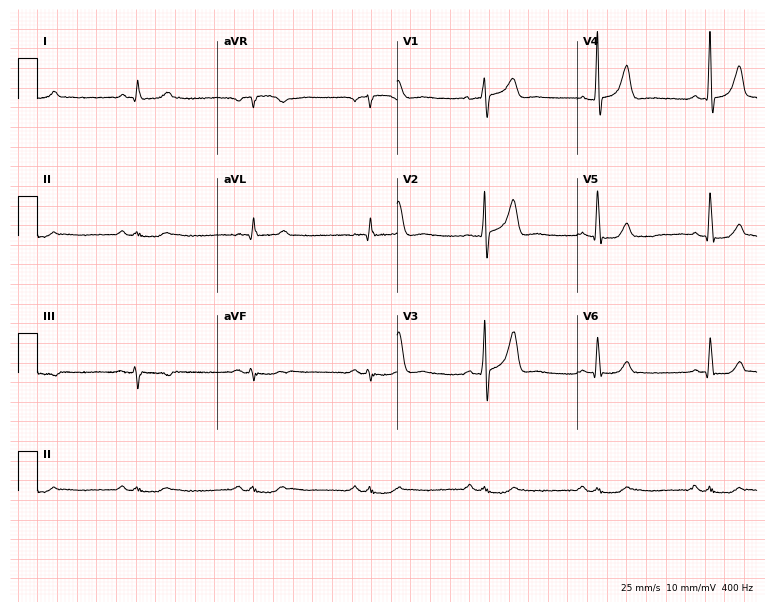
12-lead ECG from a male patient, 67 years old. No first-degree AV block, right bundle branch block (RBBB), left bundle branch block (LBBB), sinus bradycardia, atrial fibrillation (AF) or sinus tachycardia recorded for this tracing. Findings outside these six are not listed.